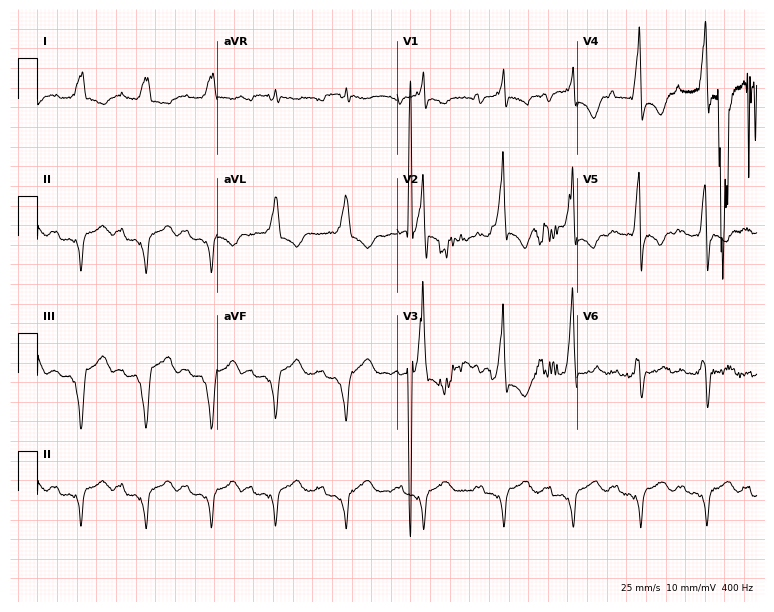
ECG — a 48-year-old female patient. Screened for six findings — first-degree AV block, right bundle branch block (RBBB), left bundle branch block (LBBB), sinus bradycardia, atrial fibrillation (AF), sinus tachycardia — none is recorded.